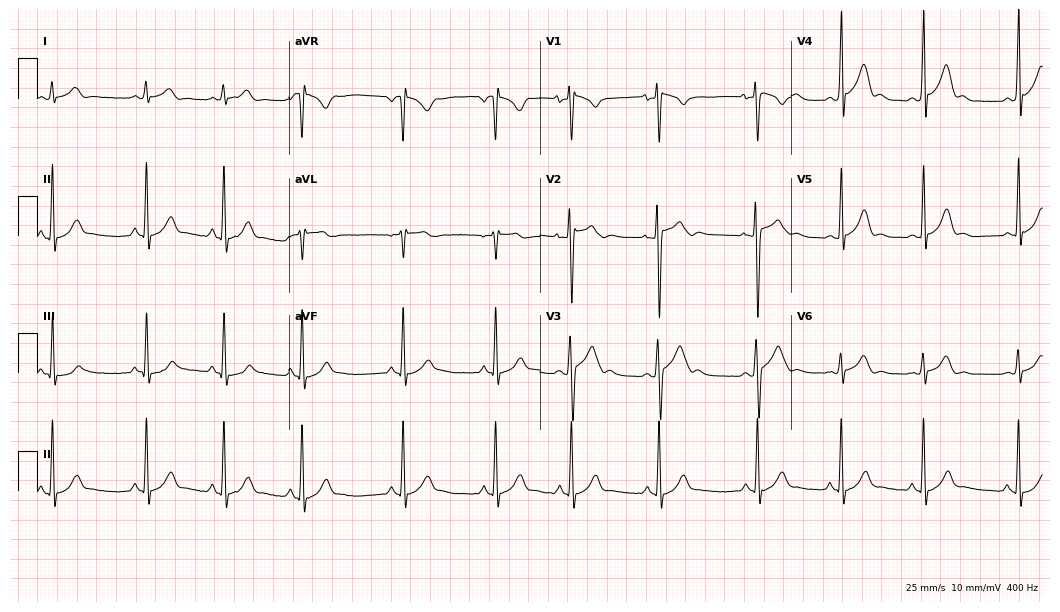
12-lead ECG from a man, 17 years old. Labelled as a normal ECG.